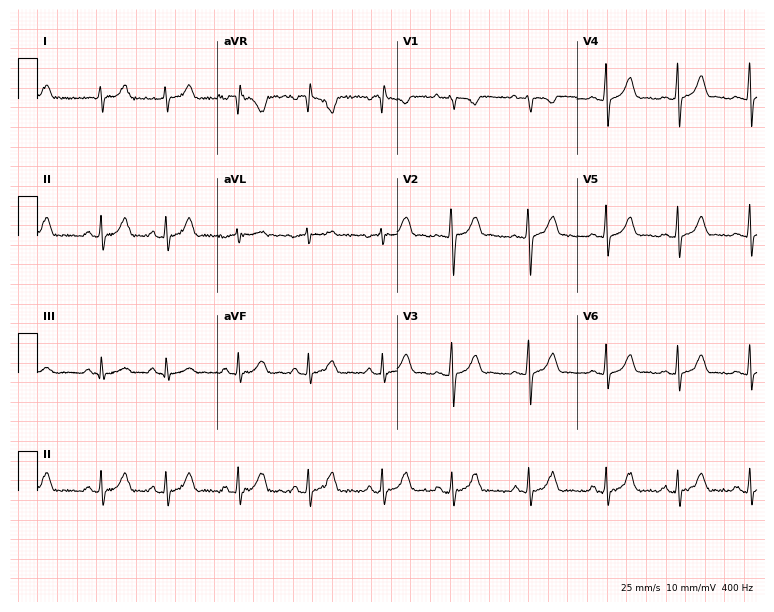
12-lead ECG from a 23-year-old woman. Labelled as a normal ECG.